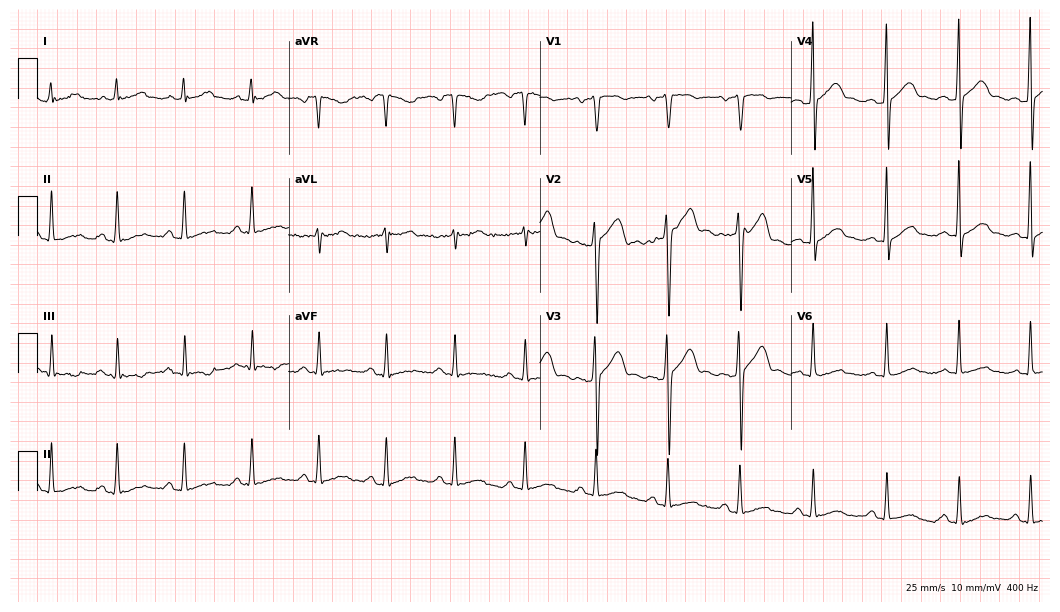
Electrocardiogram (10.2-second recording at 400 Hz), a male, 41 years old. Overall reading on record: normal ECG.